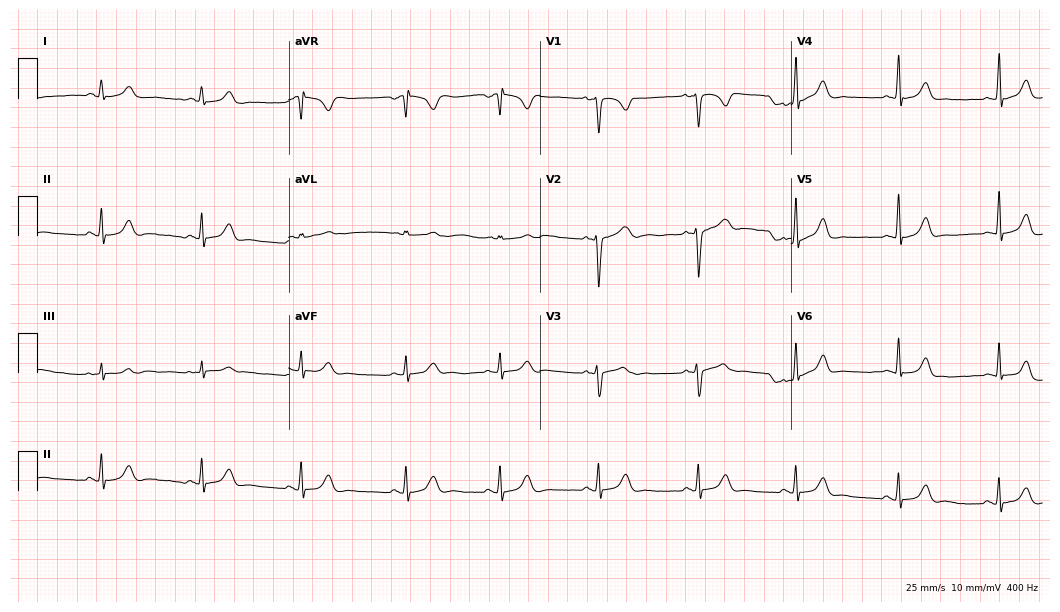
ECG — a 20-year-old female. Labelled as a normal ECG.